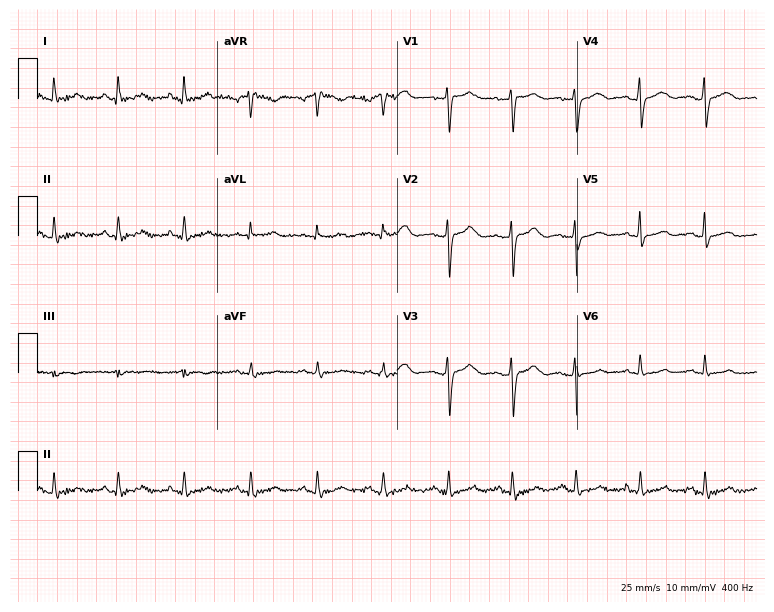
12-lead ECG (7.3-second recording at 400 Hz) from a 50-year-old woman. Labelled as a normal ECG.